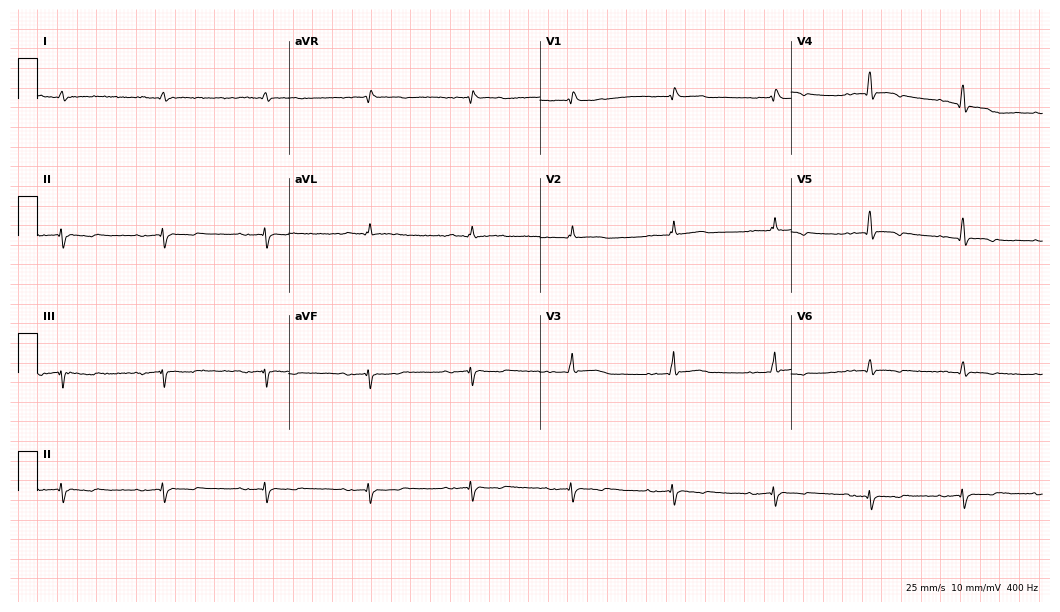
12-lead ECG from a 78-year-old male. Shows first-degree AV block.